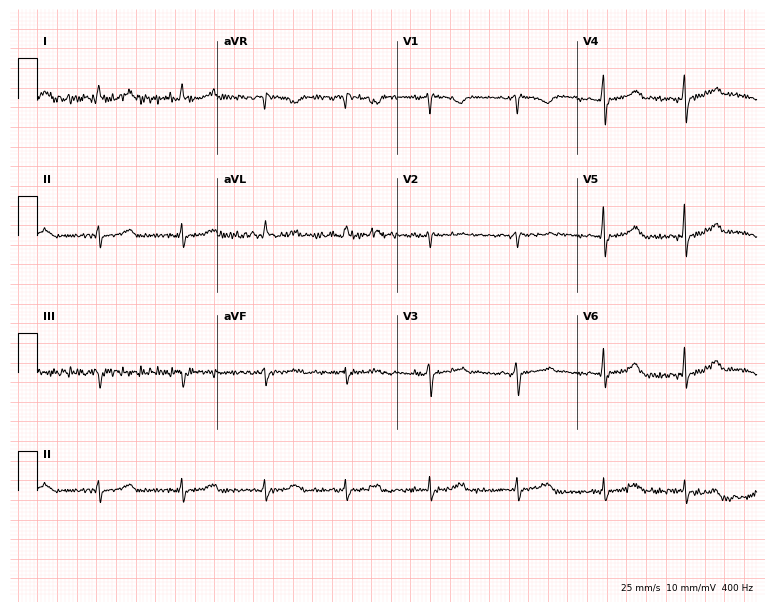
Standard 12-lead ECG recorded from a woman, 44 years old (7.3-second recording at 400 Hz). None of these six findings is recorded: first-degree AV block, right bundle branch block, left bundle branch block, sinus bradycardia, atrial fibrillation, sinus tachycardia. Other findings, if any, are not listed.